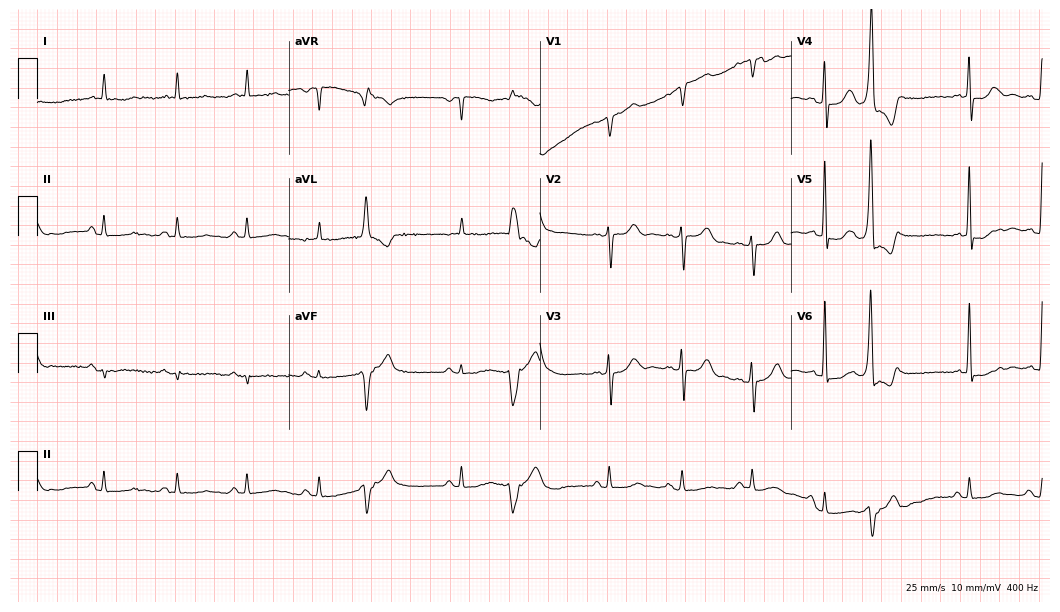
Resting 12-lead electrocardiogram (10.2-second recording at 400 Hz). Patient: a male, 80 years old. None of these six findings is recorded: first-degree AV block, right bundle branch block, left bundle branch block, sinus bradycardia, atrial fibrillation, sinus tachycardia.